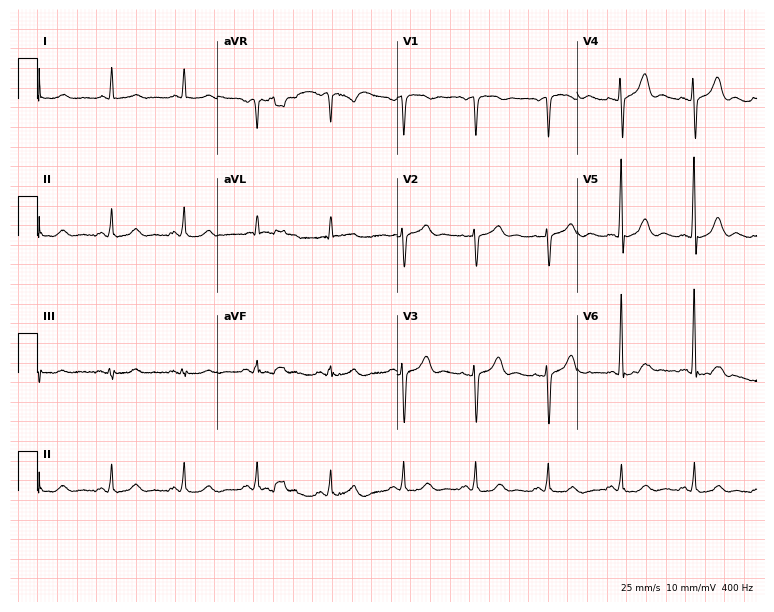
ECG (7.3-second recording at 400 Hz) — a 77-year-old male. Screened for six findings — first-degree AV block, right bundle branch block, left bundle branch block, sinus bradycardia, atrial fibrillation, sinus tachycardia — none is recorded. Other findings, if any, are not listed.